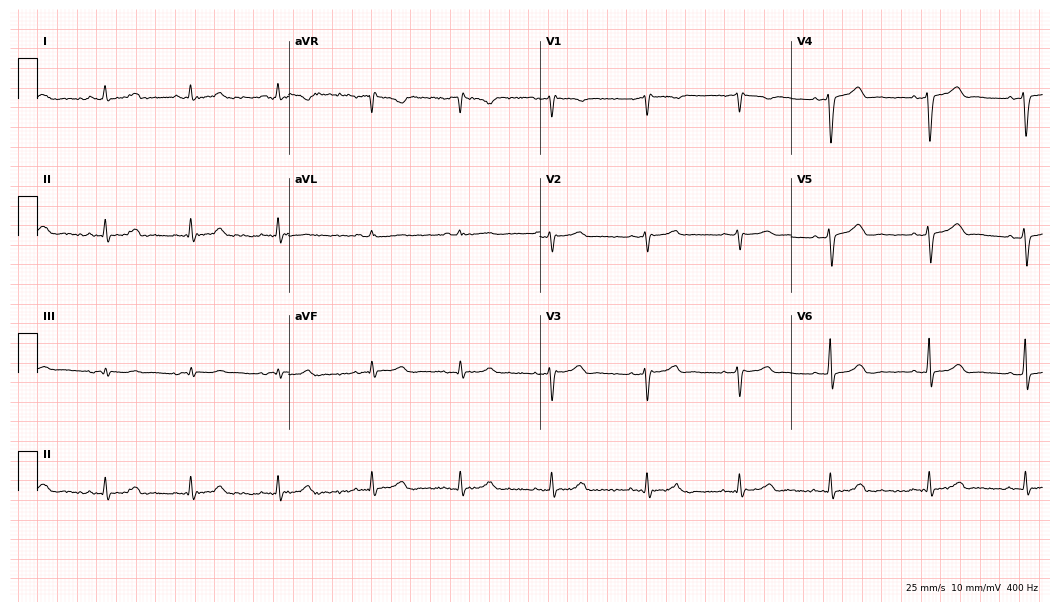
Standard 12-lead ECG recorded from a 44-year-old female patient. None of these six findings is recorded: first-degree AV block, right bundle branch block, left bundle branch block, sinus bradycardia, atrial fibrillation, sinus tachycardia. Other findings, if any, are not listed.